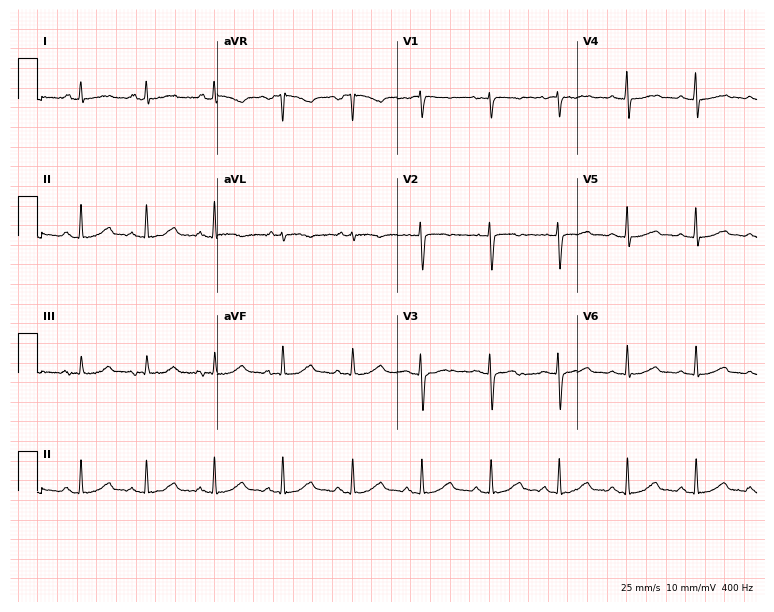
12-lead ECG from a woman, 77 years old. No first-degree AV block, right bundle branch block (RBBB), left bundle branch block (LBBB), sinus bradycardia, atrial fibrillation (AF) or sinus tachycardia recorded for this tracing. Findings outside these six are not listed.